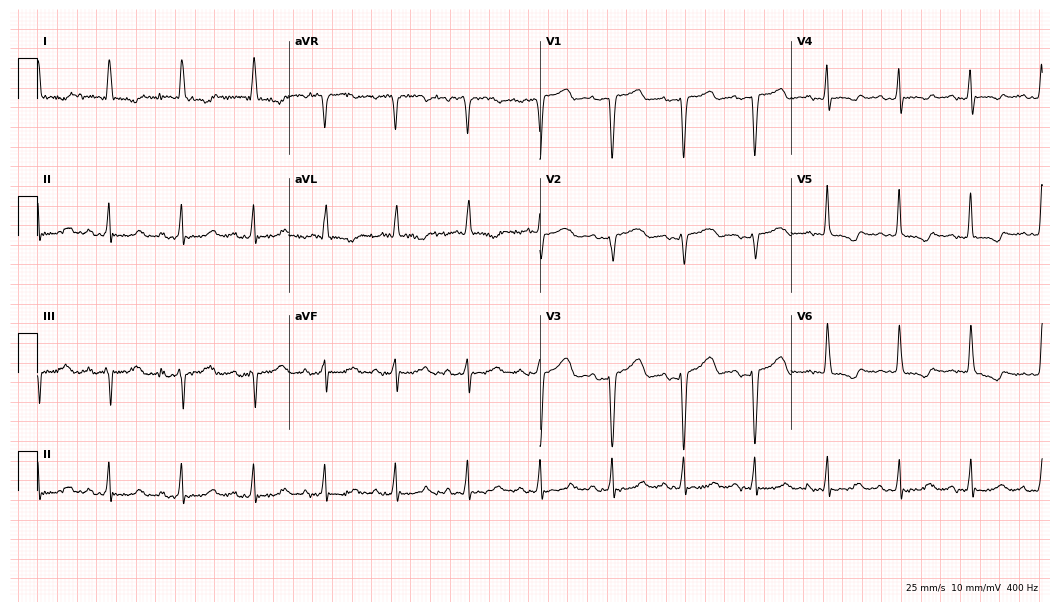
Standard 12-lead ECG recorded from a female, 75 years old. None of these six findings is recorded: first-degree AV block, right bundle branch block, left bundle branch block, sinus bradycardia, atrial fibrillation, sinus tachycardia. Only these six findings were labelled.